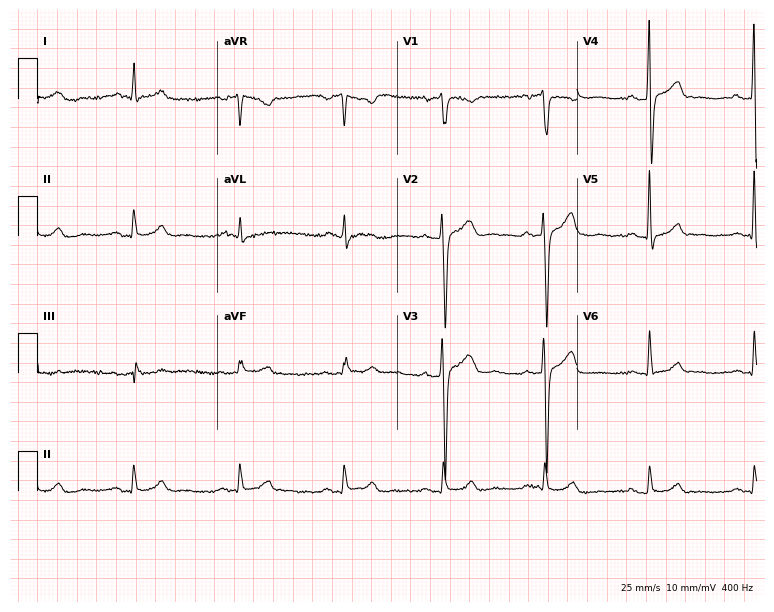
Resting 12-lead electrocardiogram. Patient: a 60-year-old male. Read as a normal ECG.